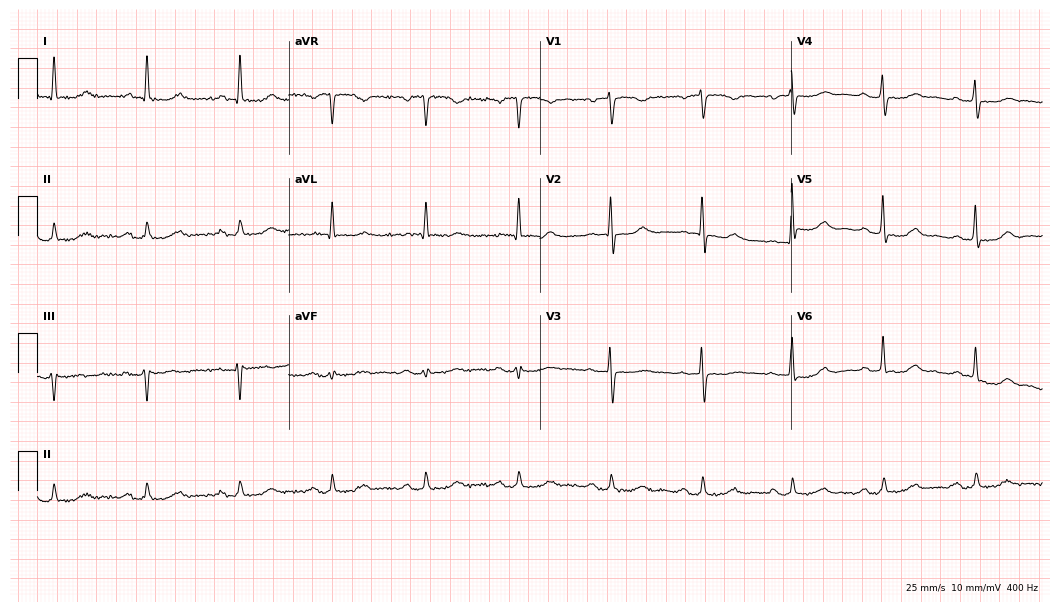
Electrocardiogram (10.2-second recording at 400 Hz), a 69-year-old woman. Of the six screened findings (first-degree AV block, right bundle branch block, left bundle branch block, sinus bradycardia, atrial fibrillation, sinus tachycardia), none is recorded. Only these six findings were labelled.